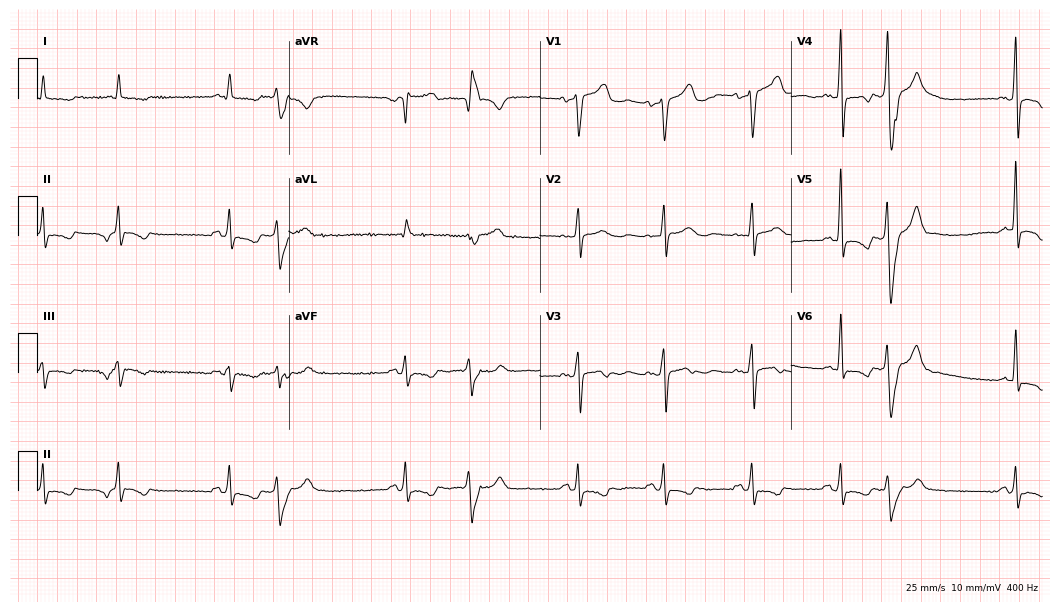
ECG — a male patient, 83 years old. Screened for six findings — first-degree AV block, right bundle branch block, left bundle branch block, sinus bradycardia, atrial fibrillation, sinus tachycardia — none is recorded.